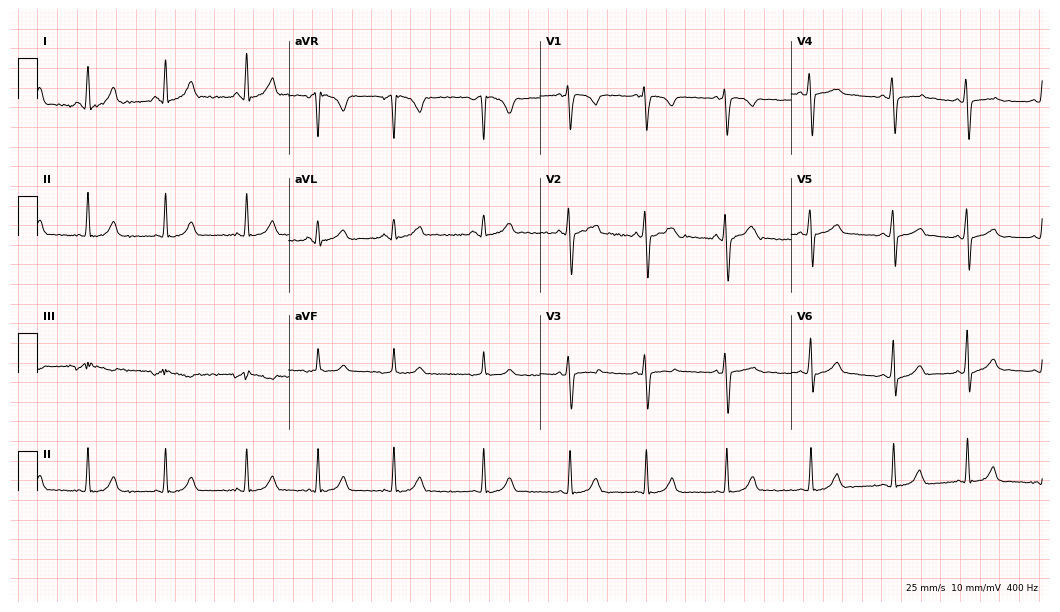
12-lead ECG from a woman, 24 years old. Labelled as a normal ECG.